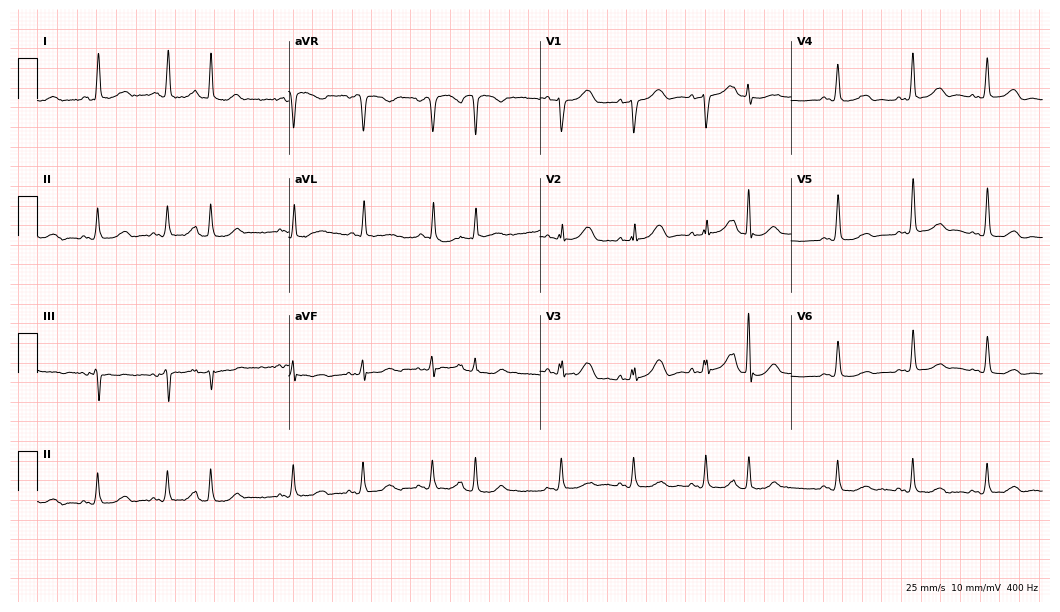
12-lead ECG (10.2-second recording at 400 Hz) from a 74-year-old woman. Screened for six findings — first-degree AV block, right bundle branch block, left bundle branch block, sinus bradycardia, atrial fibrillation, sinus tachycardia — none is recorded.